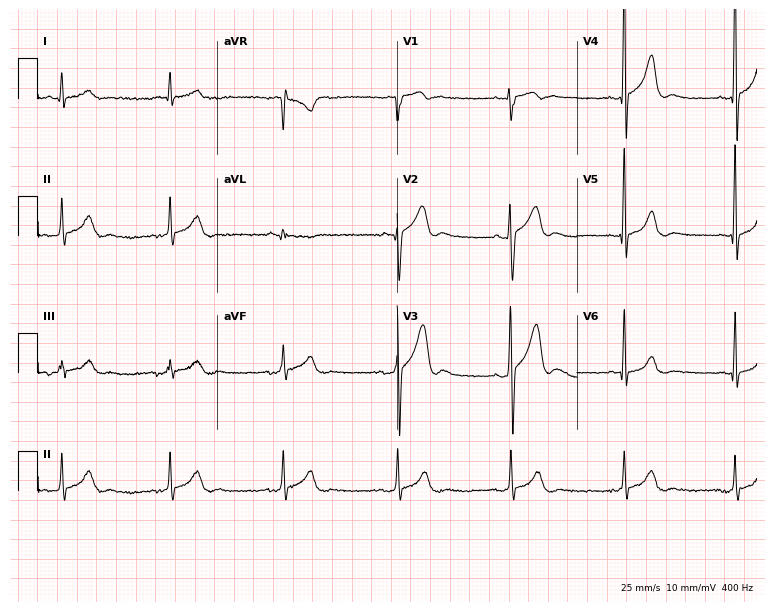
ECG — a man, 32 years old. Labelled as a normal ECG.